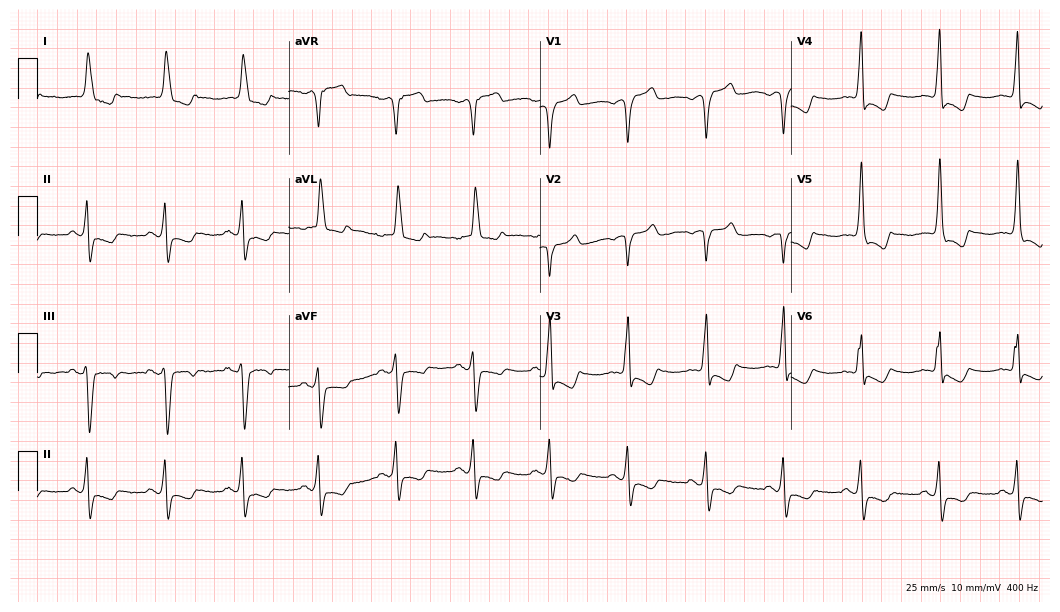
ECG (10.2-second recording at 400 Hz) — a woman, 76 years old. Findings include left bundle branch block (LBBB).